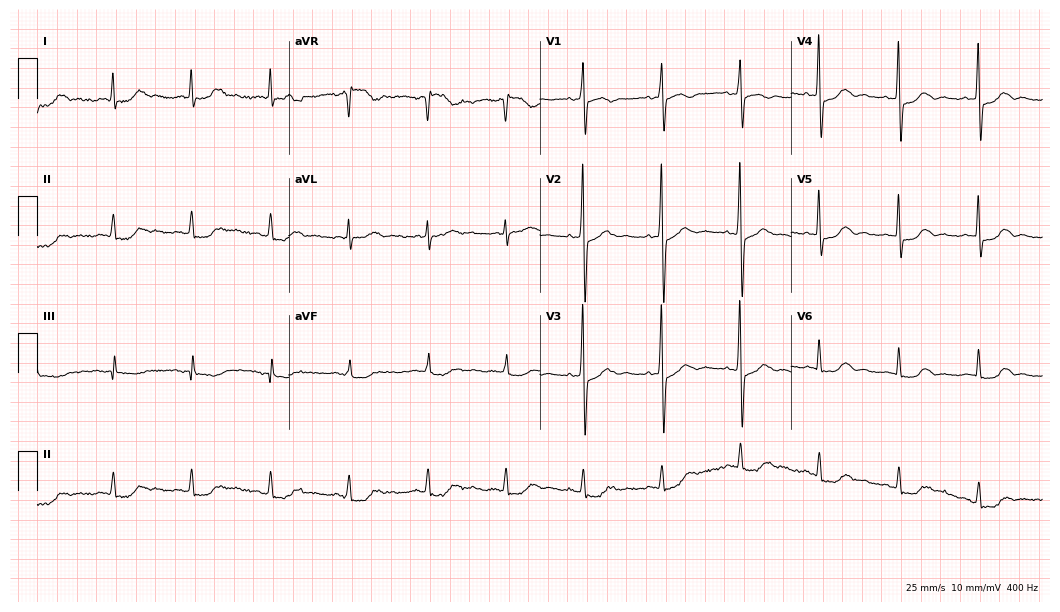
Standard 12-lead ECG recorded from an 85-year-old female patient (10.2-second recording at 400 Hz). None of these six findings is recorded: first-degree AV block, right bundle branch block, left bundle branch block, sinus bradycardia, atrial fibrillation, sinus tachycardia. Findings outside these six are not listed.